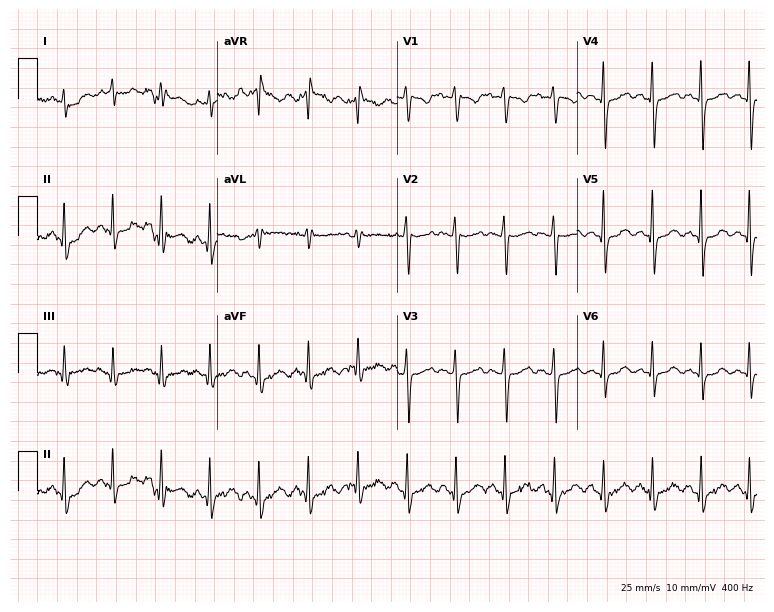
Electrocardiogram (7.3-second recording at 400 Hz), a female patient, 35 years old. Interpretation includes sinus tachycardia (a sinus rate of 100 beats per minute or more).